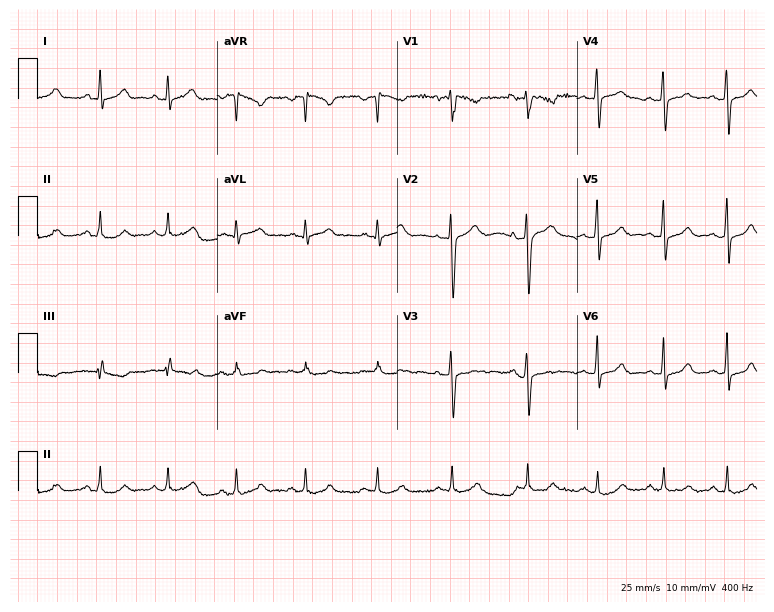
12-lead ECG from a female, 34 years old (7.3-second recording at 400 Hz). Recorded interpretation: within normal limits.